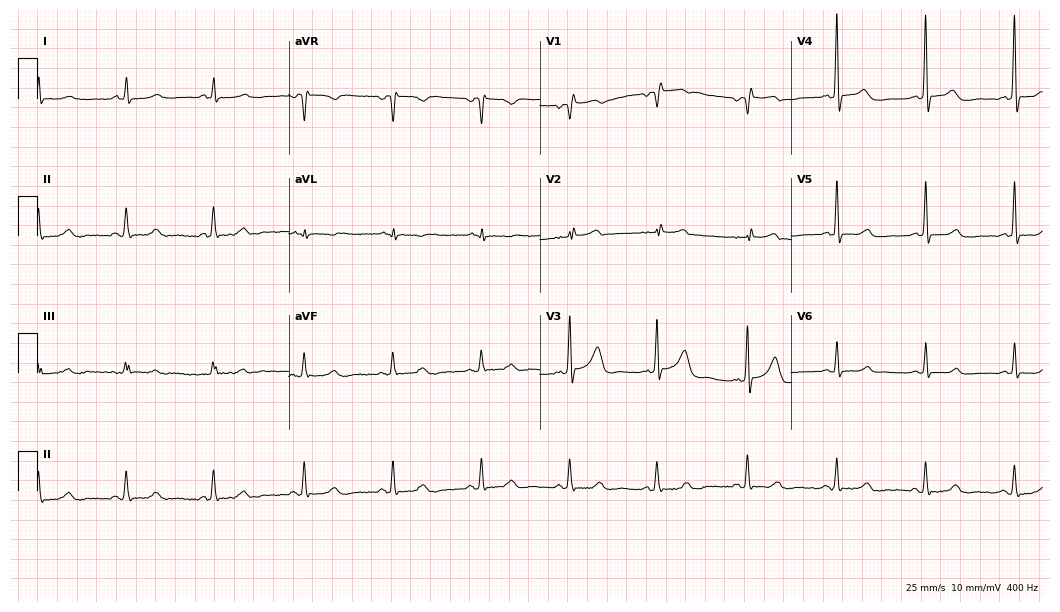
Resting 12-lead electrocardiogram (10.2-second recording at 400 Hz). Patient: a male, 84 years old. None of these six findings is recorded: first-degree AV block, right bundle branch block, left bundle branch block, sinus bradycardia, atrial fibrillation, sinus tachycardia.